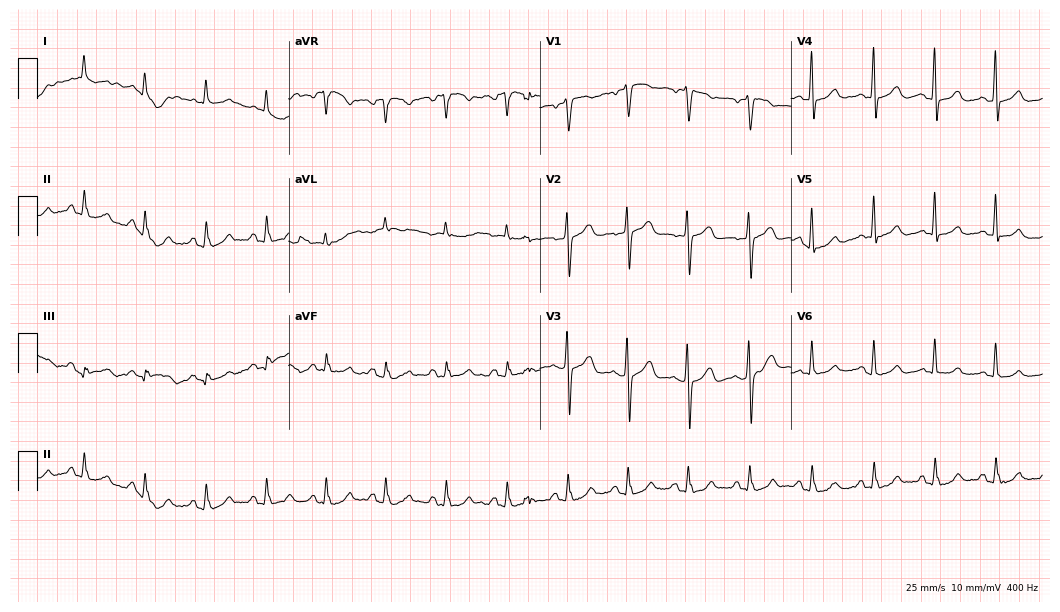
12-lead ECG from a male, 60 years old. Screened for six findings — first-degree AV block, right bundle branch block, left bundle branch block, sinus bradycardia, atrial fibrillation, sinus tachycardia — none is recorded. Findings outside these six are not listed.